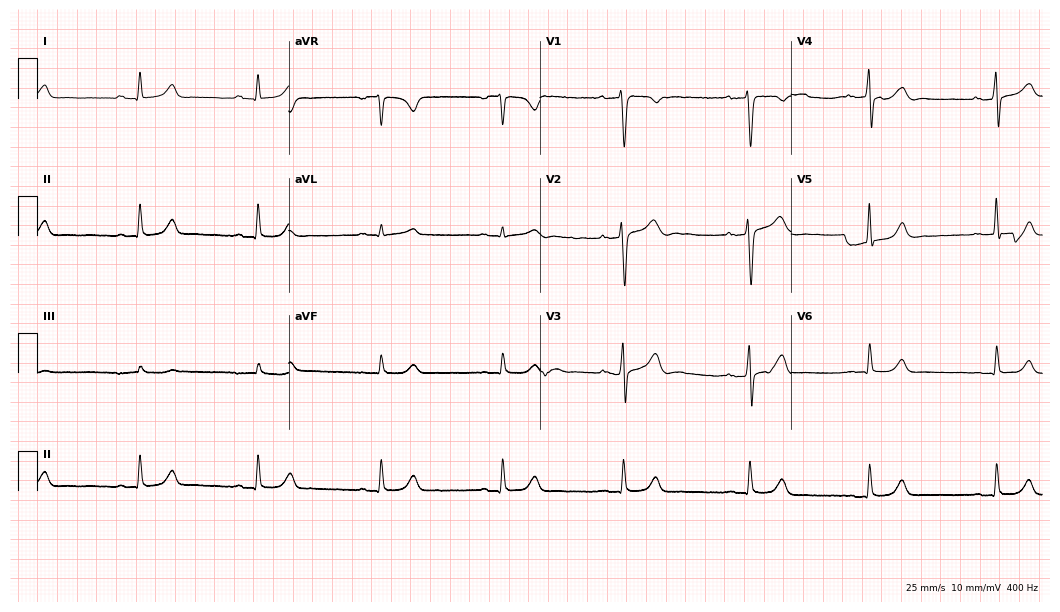
Standard 12-lead ECG recorded from a 43-year-old male patient. None of these six findings is recorded: first-degree AV block, right bundle branch block, left bundle branch block, sinus bradycardia, atrial fibrillation, sinus tachycardia.